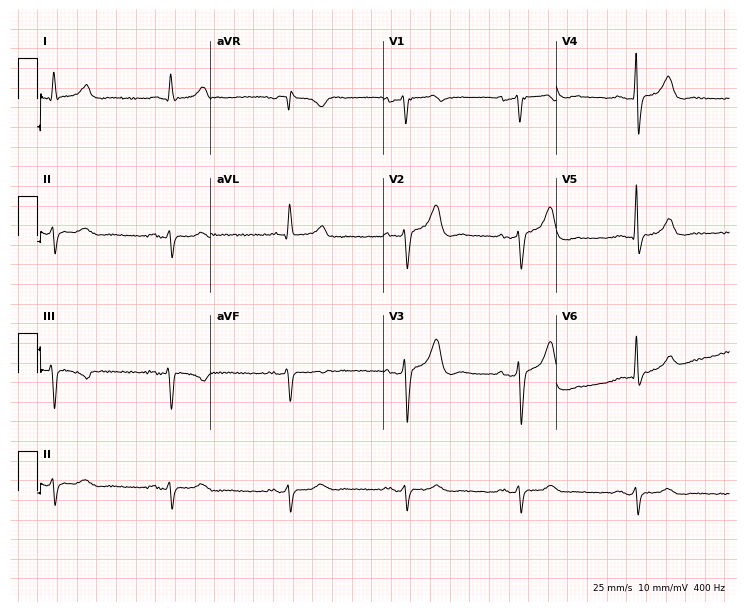
12-lead ECG from a 75-year-old man (7.1-second recording at 400 Hz). No first-degree AV block, right bundle branch block, left bundle branch block, sinus bradycardia, atrial fibrillation or sinus tachycardia recorded for this tracing. Only these six findings were labelled.